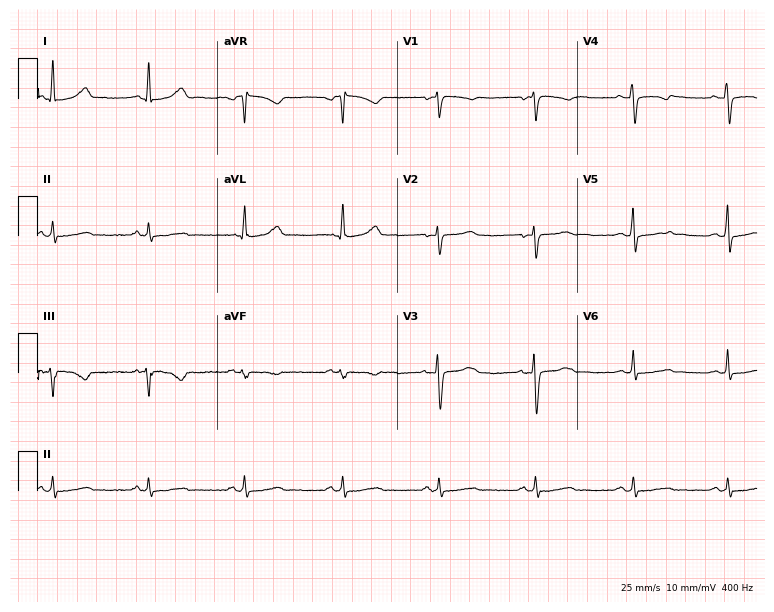
ECG — a 40-year-old female. Screened for six findings — first-degree AV block, right bundle branch block, left bundle branch block, sinus bradycardia, atrial fibrillation, sinus tachycardia — none is recorded.